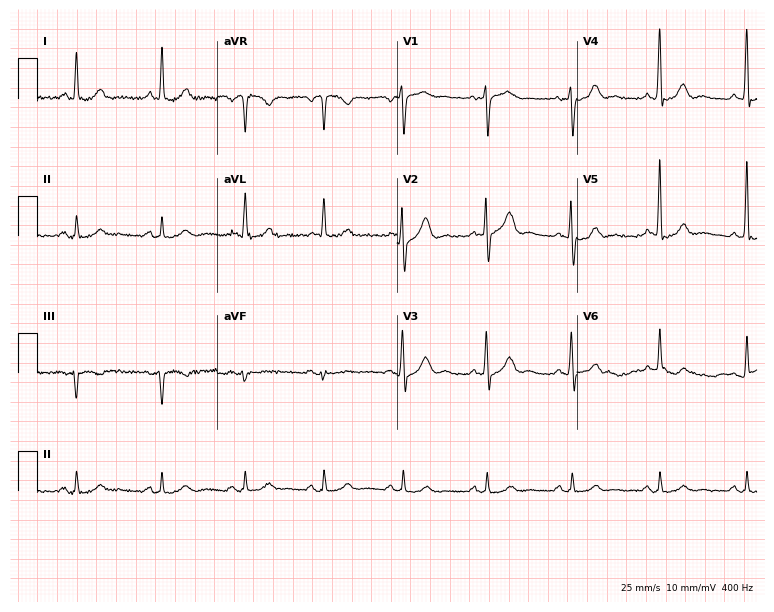
12-lead ECG from a 69-year-old male. Labelled as a normal ECG.